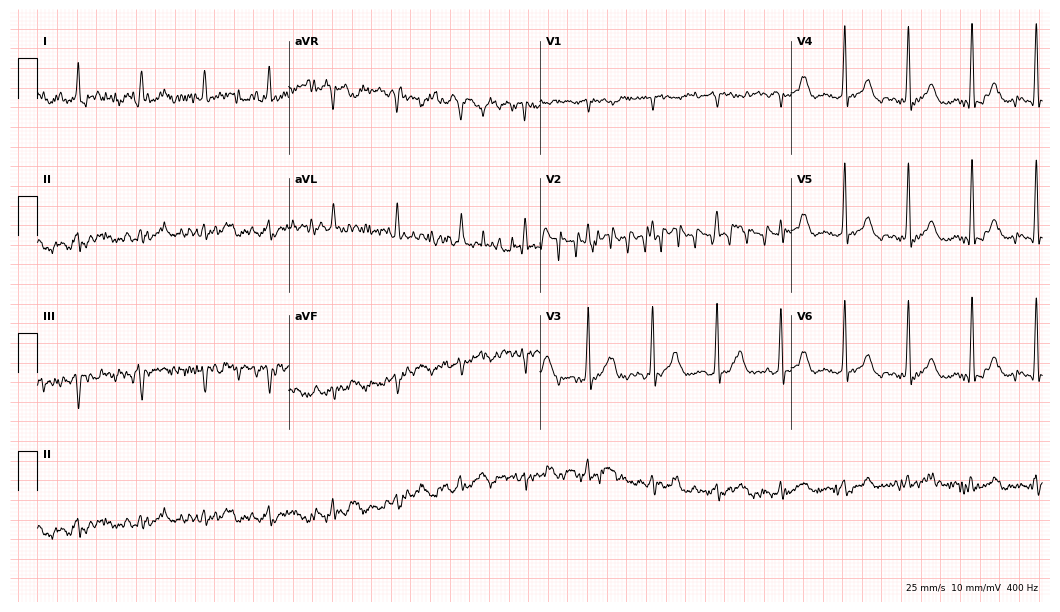
12-lead ECG from a man, 79 years old. Screened for six findings — first-degree AV block, right bundle branch block (RBBB), left bundle branch block (LBBB), sinus bradycardia, atrial fibrillation (AF), sinus tachycardia — none is recorded. Only these six findings were labelled.